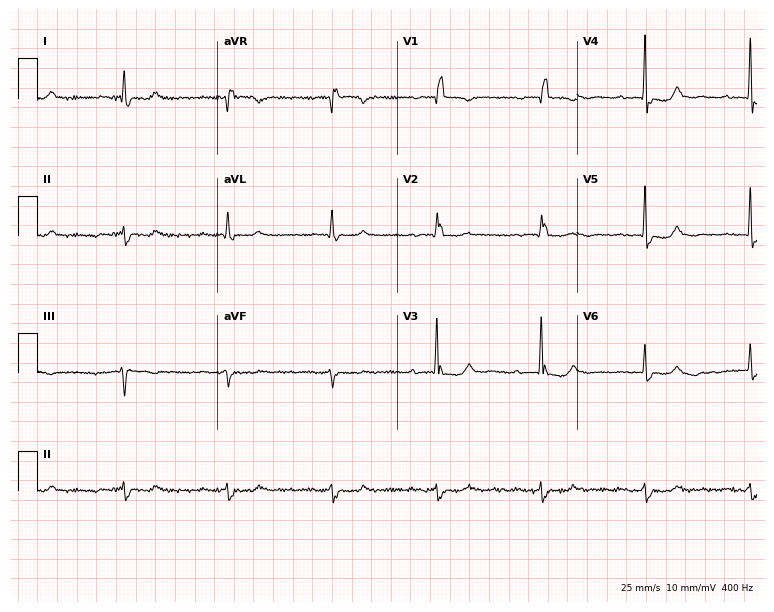
Standard 12-lead ECG recorded from a male patient, 79 years old (7.3-second recording at 400 Hz). The tracing shows first-degree AV block, right bundle branch block (RBBB).